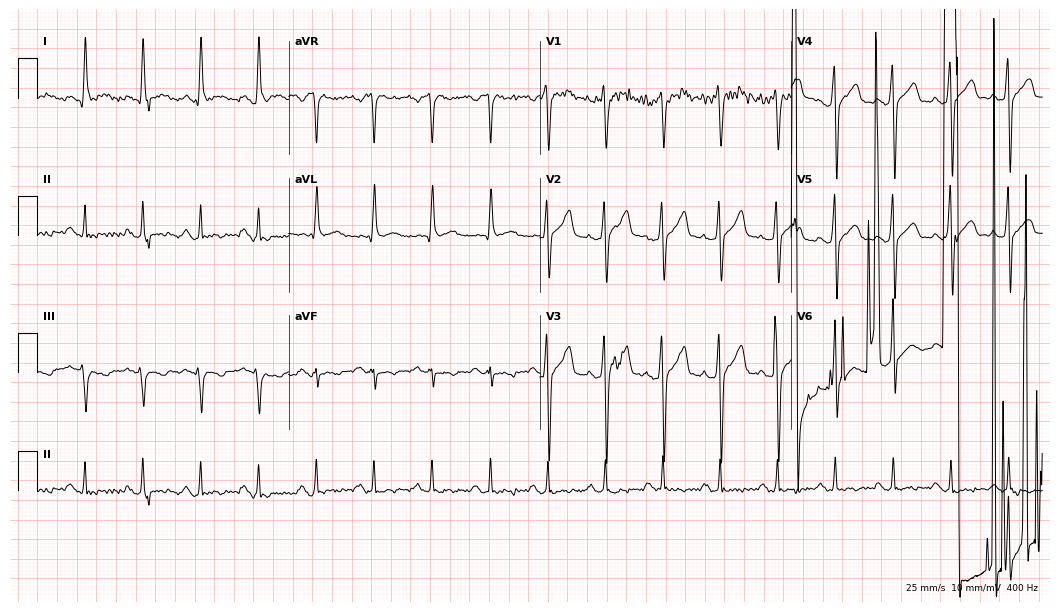
Standard 12-lead ECG recorded from a male patient, 56 years old (10.2-second recording at 400 Hz). None of these six findings is recorded: first-degree AV block, right bundle branch block (RBBB), left bundle branch block (LBBB), sinus bradycardia, atrial fibrillation (AF), sinus tachycardia. Other findings, if any, are not listed.